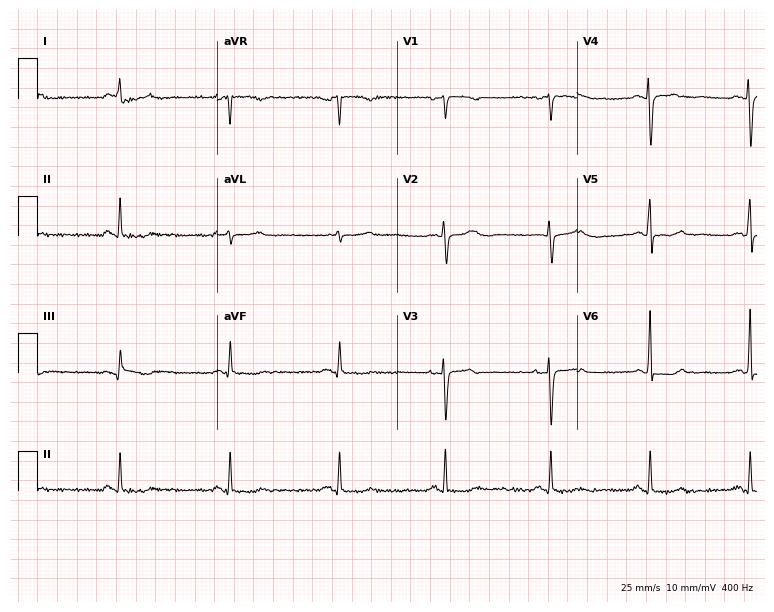
Standard 12-lead ECG recorded from a 60-year-old female. None of these six findings is recorded: first-degree AV block, right bundle branch block (RBBB), left bundle branch block (LBBB), sinus bradycardia, atrial fibrillation (AF), sinus tachycardia. Findings outside these six are not listed.